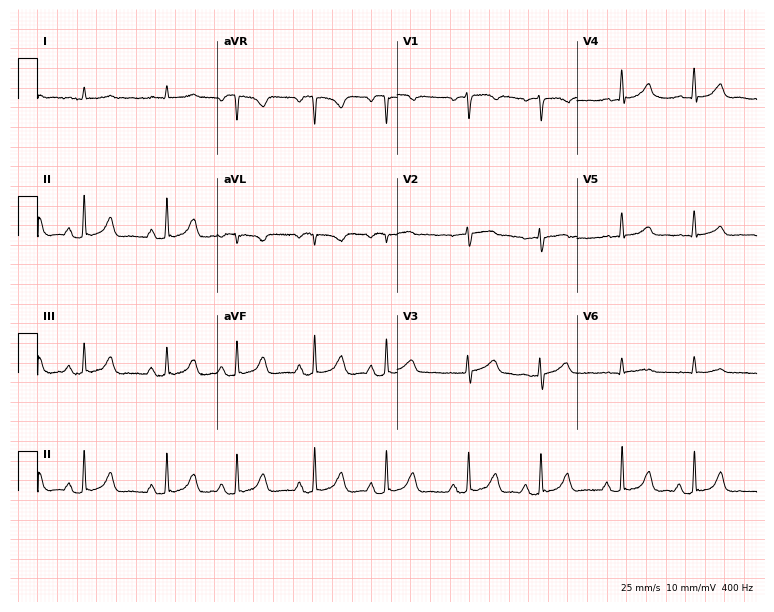
Electrocardiogram, an 82-year-old man. Overall reading on record: normal ECG.